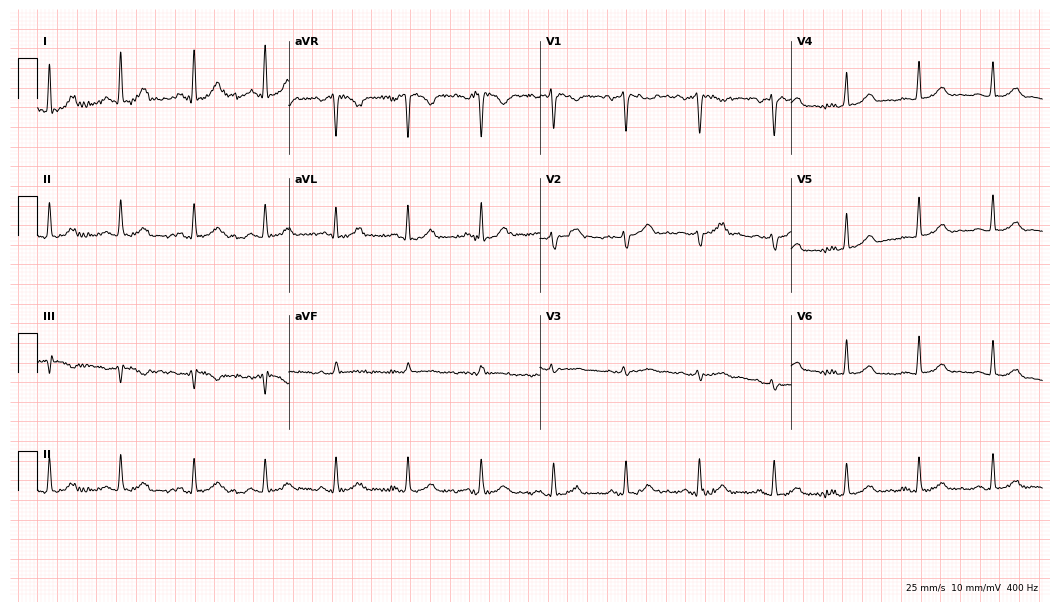
ECG — a female patient, 27 years old. Labelled as a normal ECG.